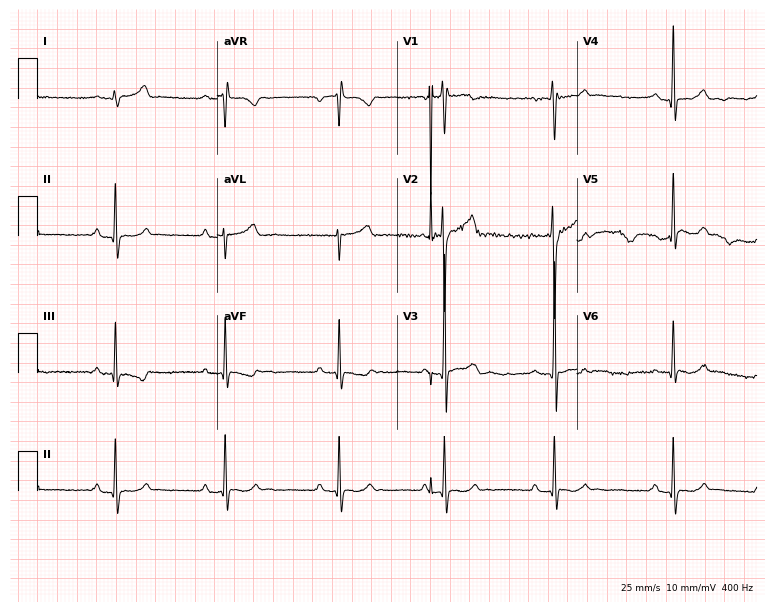
ECG — a 17-year-old male patient. Labelled as a normal ECG.